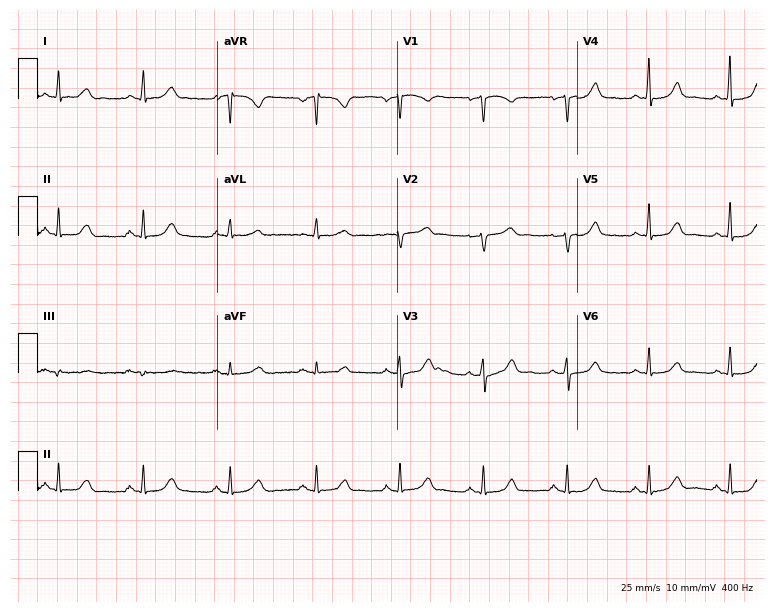
Resting 12-lead electrocardiogram. Patient: a 57-year-old female. Read as a normal ECG.